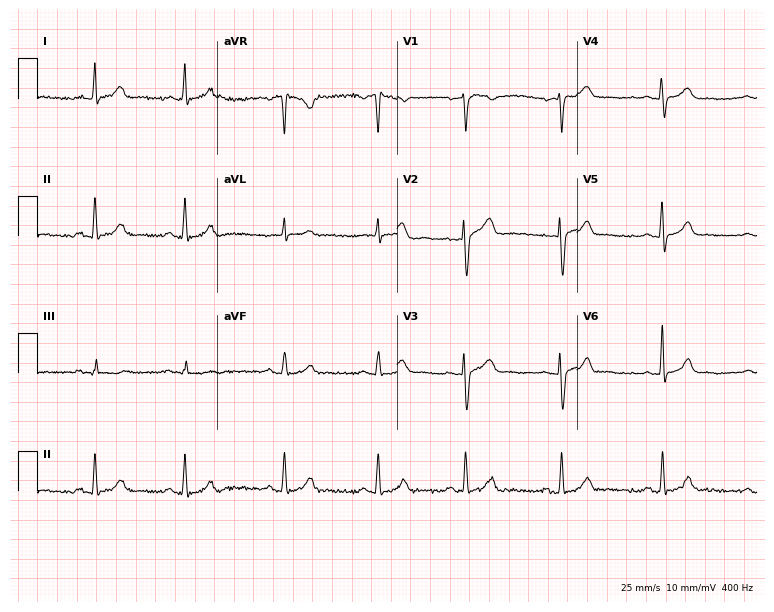
ECG — a 34-year-old woman. Screened for six findings — first-degree AV block, right bundle branch block (RBBB), left bundle branch block (LBBB), sinus bradycardia, atrial fibrillation (AF), sinus tachycardia — none is recorded. Only these six findings were labelled.